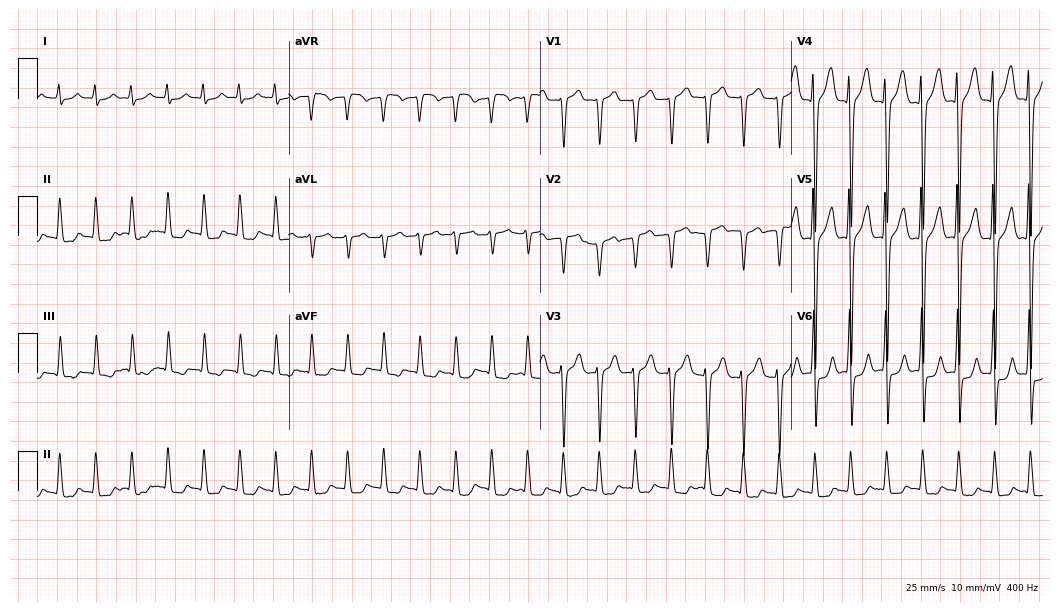
12-lead ECG from a man, 75 years old (10.2-second recording at 400 Hz). No first-degree AV block, right bundle branch block, left bundle branch block, sinus bradycardia, atrial fibrillation or sinus tachycardia recorded for this tracing.